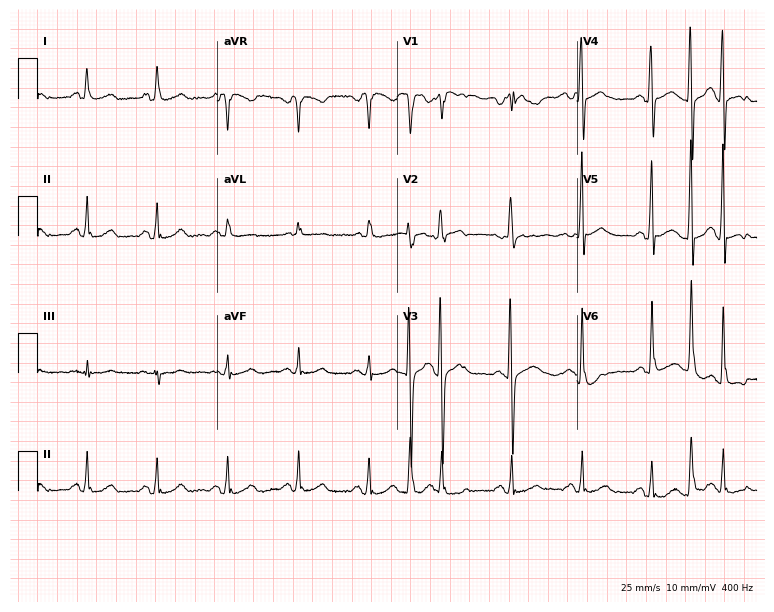
Standard 12-lead ECG recorded from a woman, 62 years old (7.3-second recording at 400 Hz). None of these six findings is recorded: first-degree AV block, right bundle branch block (RBBB), left bundle branch block (LBBB), sinus bradycardia, atrial fibrillation (AF), sinus tachycardia. Only these six findings were labelled.